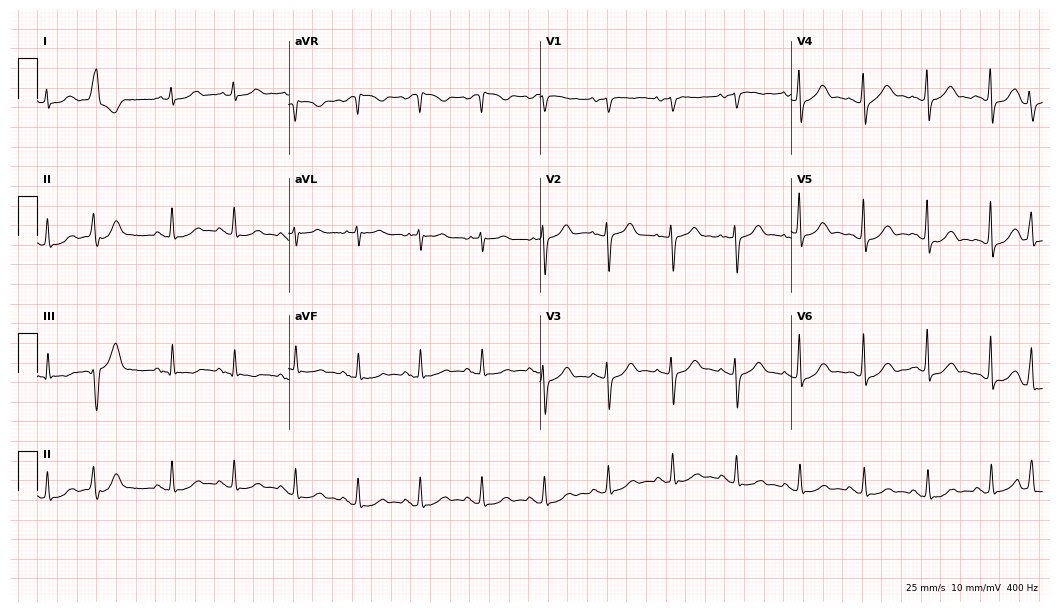
Electrocardiogram (10.2-second recording at 400 Hz), a man, 81 years old. Of the six screened findings (first-degree AV block, right bundle branch block, left bundle branch block, sinus bradycardia, atrial fibrillation, sinus tachycardia), none is recorded.